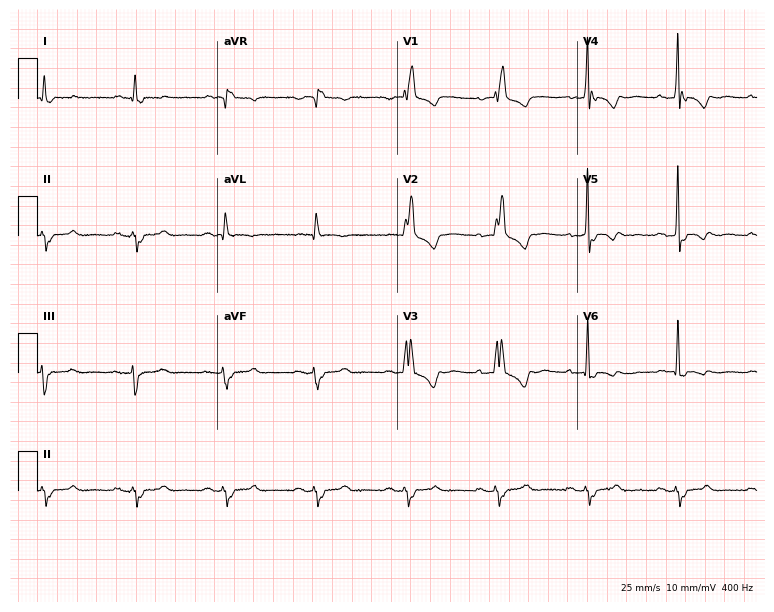
ECG (7.3-second recording at 400 Hz) — a 78-year-old male. Findings include right bundle branch block.